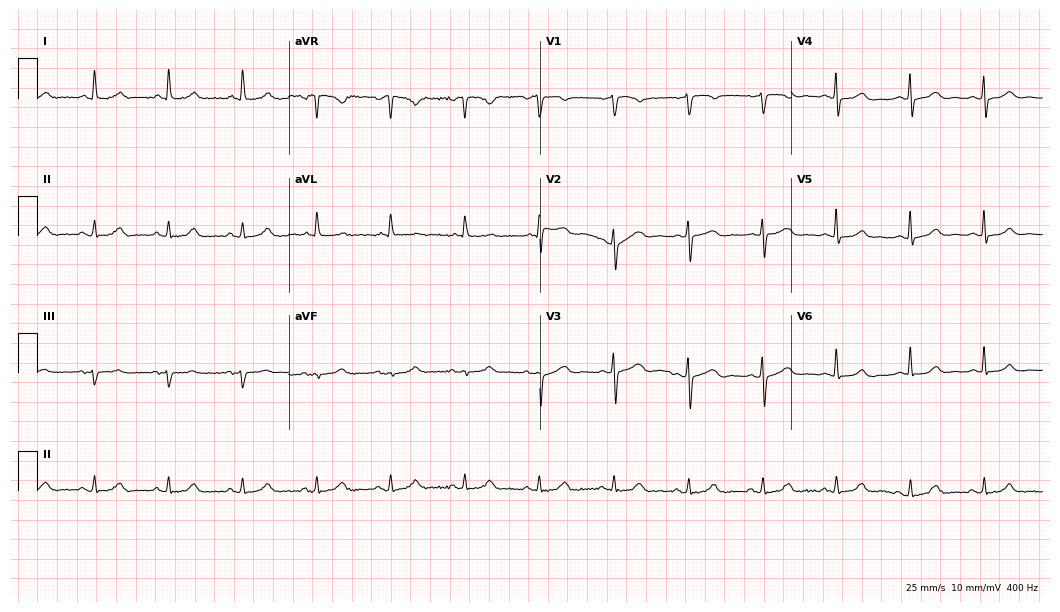
Electrocardiogram (10.2-second recording at 400 Hz), a female, 76 years old. Overall reading on record: normal ECG.